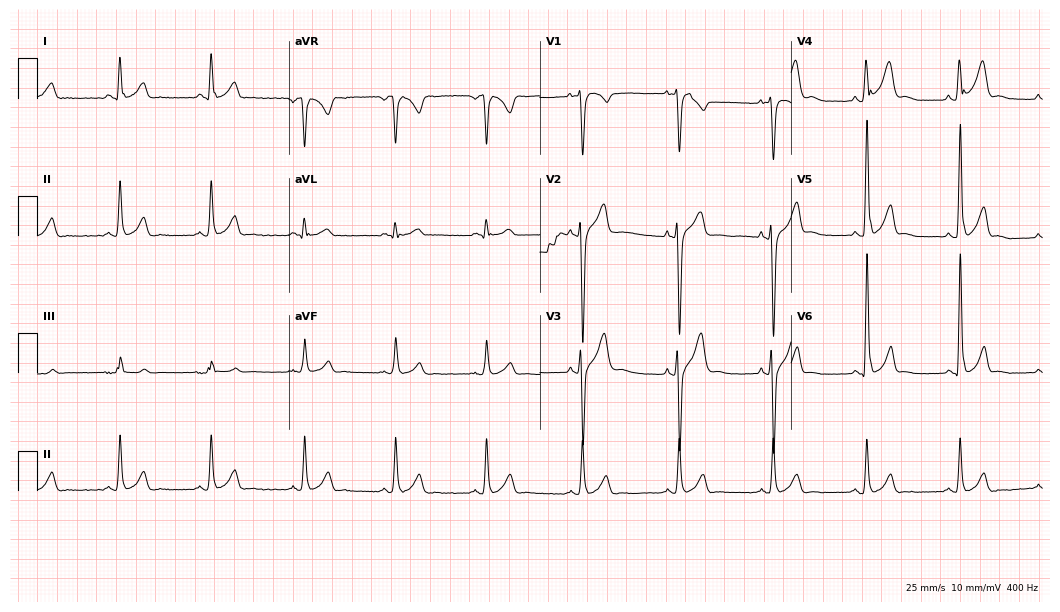
12-lead ECG (10.2-second recording at 400 Hz) from a man, 26 years old. Screened for six findings — first-degree AV block, right bundle branch block (RBBB), left bundle branch block (LBBB), sinus bradycardia, atrial fibrillation (AF), sinus tachycardia — none is recorded.